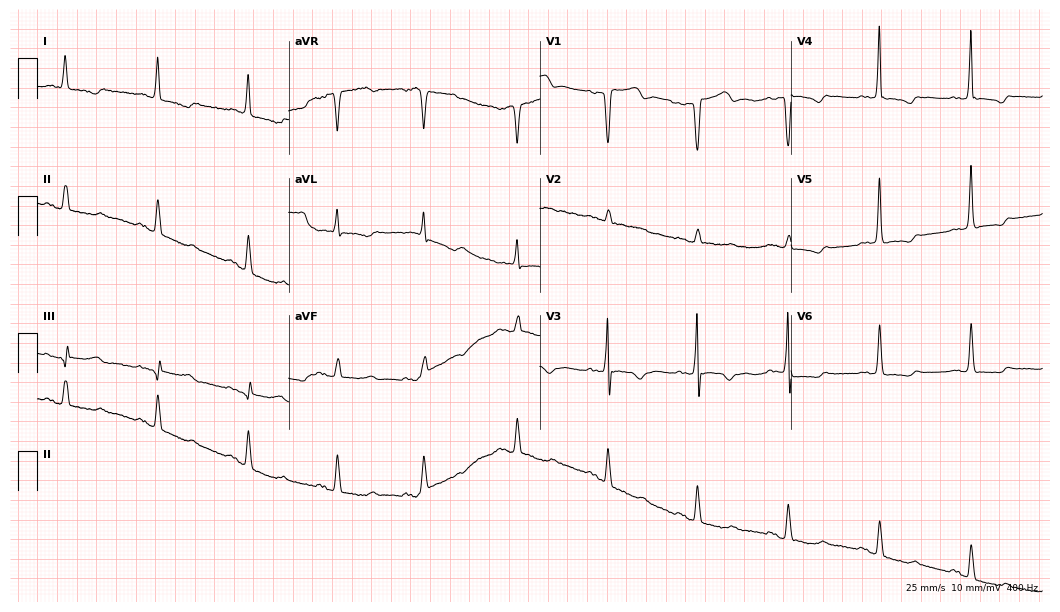
Standard 12-lead ECG recorded from a 77-year-old woman. None of these six findings is recorded: first-degree AV block, right bundle branch block, left bundle branch block, sinus bradycardia, atrial fibrillation, sinus tachycardia. Findings outside these six are not listed.